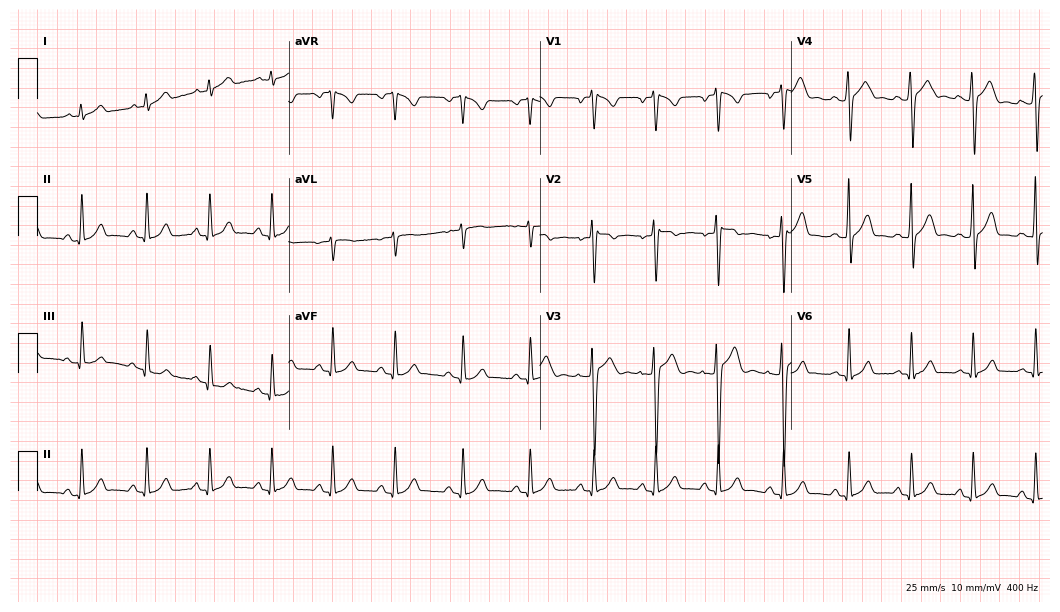
Electrocardiogram (10.2-second recording at 400 Hz), a female, 25 years old. Of the six screened findings (first-degree AV block, right bundle branch block, left bundle branch block, sinus bradycardia, atrial fibrillation, sinus tachycardia), none is recorded. Findings outside these six are not listed.